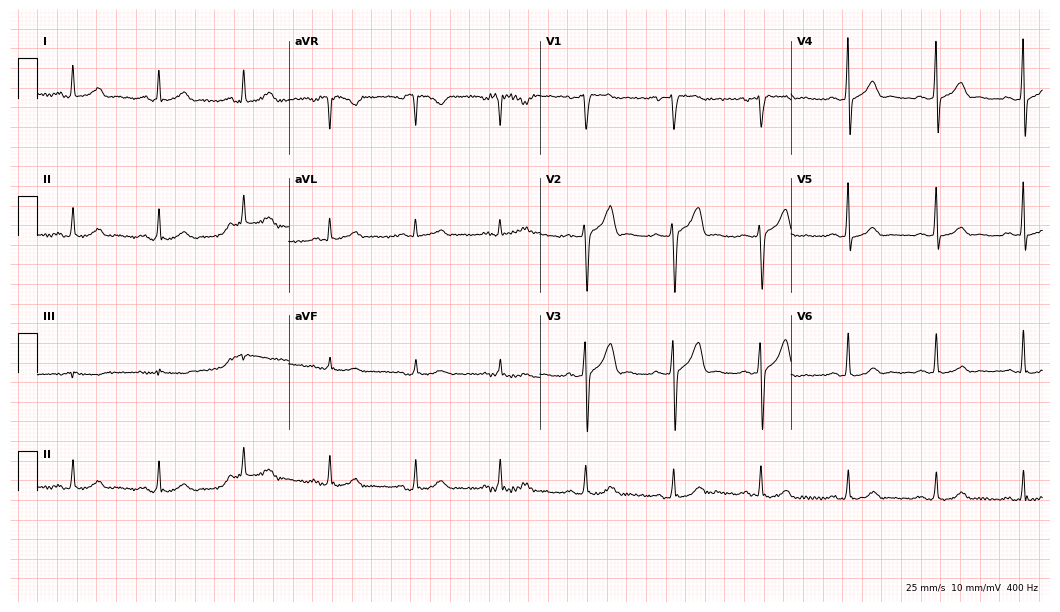
Standard 12-lead ECG recorded from a male patient, 57 years old. Read as a normal ECG.